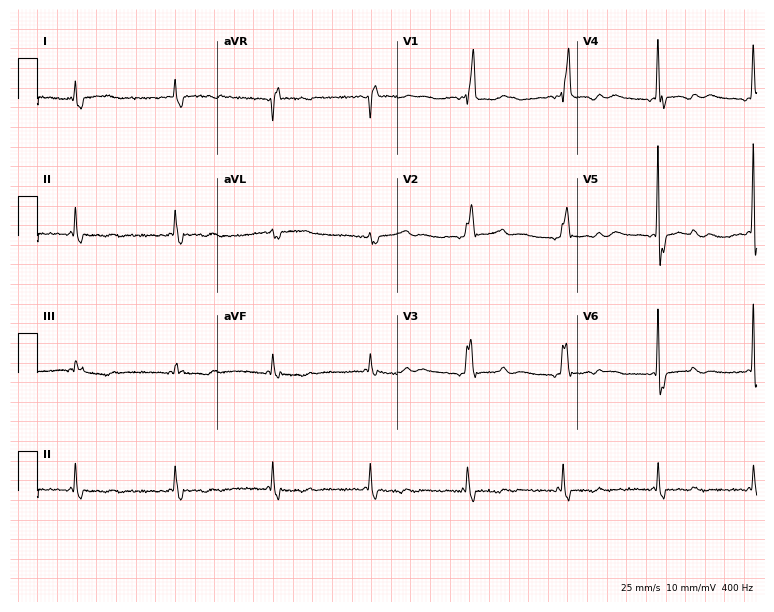
Electrocardiogram (7.3-second recording at 400 Hz), a male, 81 years old. Interpretation includes right bundle branch block.